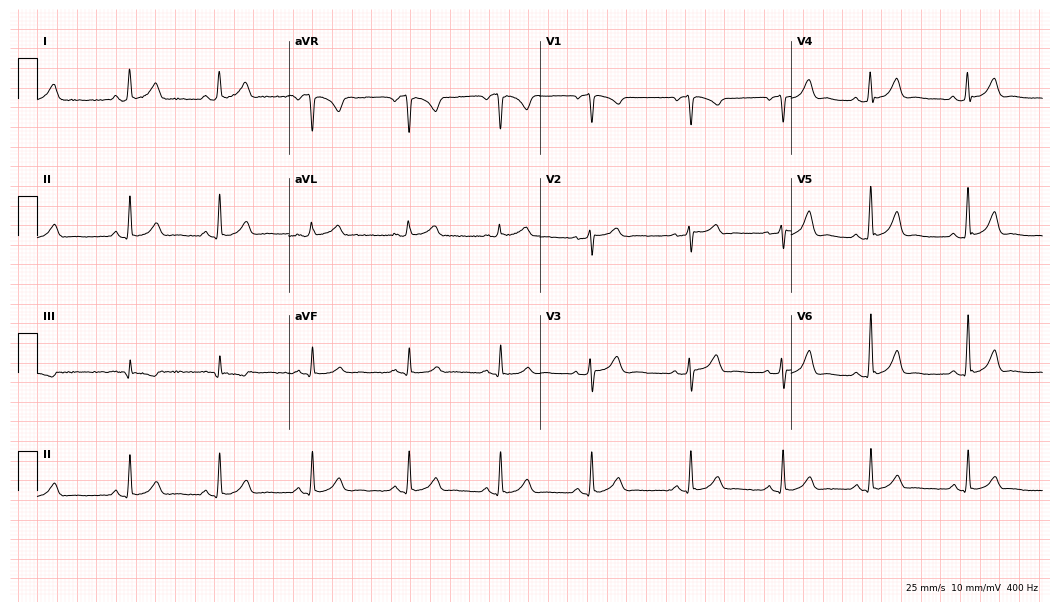
Electrocardiogram, a 39-year-old female. Overall reading on record: normal ECG.